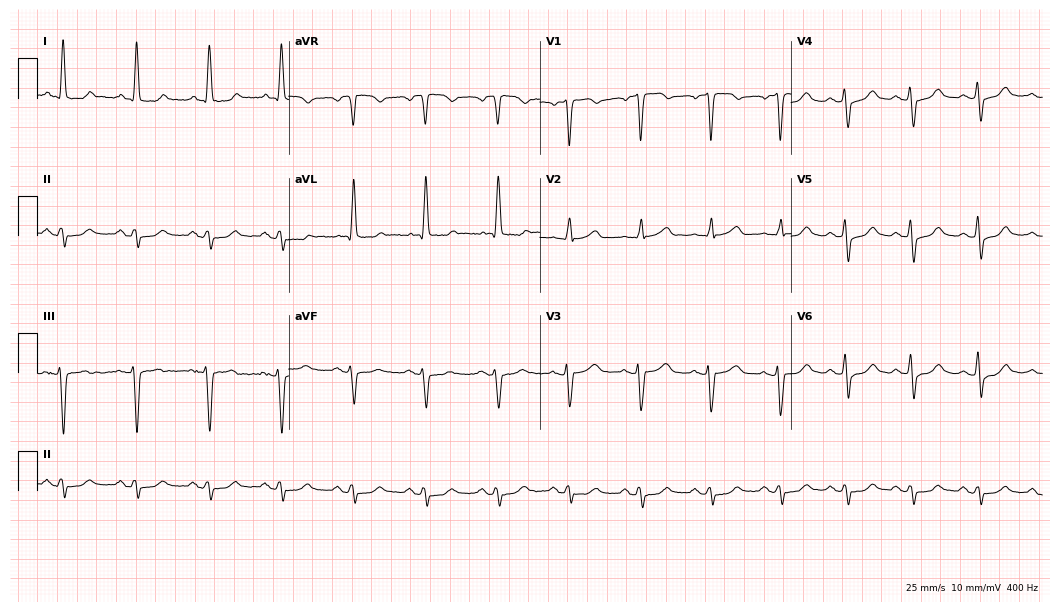
ECG — a woman, 77 years old. Screened for six findings — first-degree AV block, right bundle branch block (RBBB), left bundle branch block (LBBB), sinus bradycardia, atrial fibrillation (AF), sinus tachycardia — none is recorded. Only these six findings were labelled.